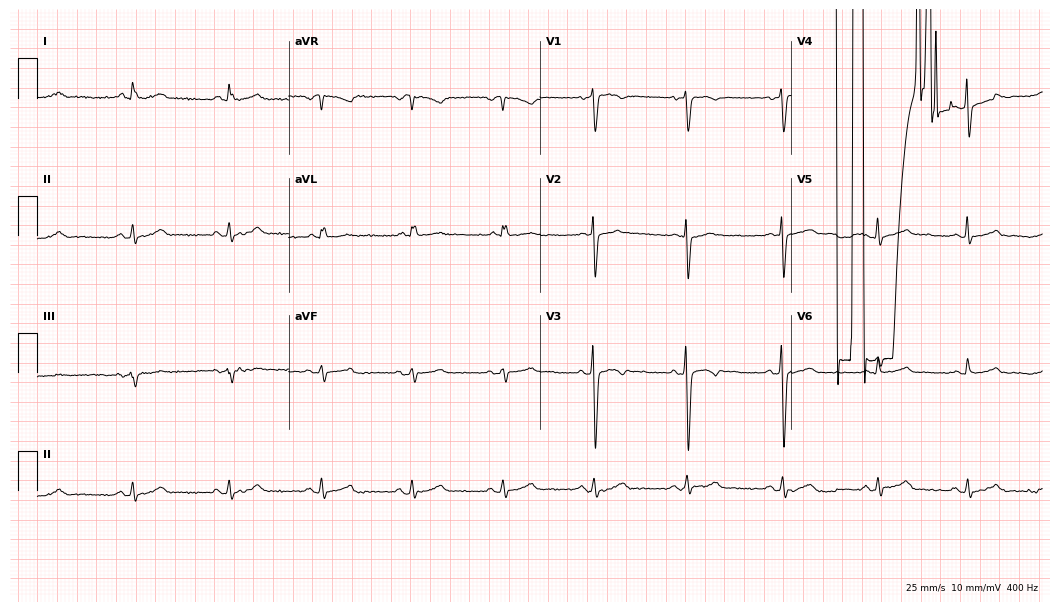
ECG (10.2-second recording at 400 Hz) — a 47-year-old male. Screened for six findings — first-degree AV block, right bundle branch block (RBBB), left bundle branch block (LBBB), sinus bradycardia, atrial fibrillation (AF), sinus tachycardia — none is recorded.